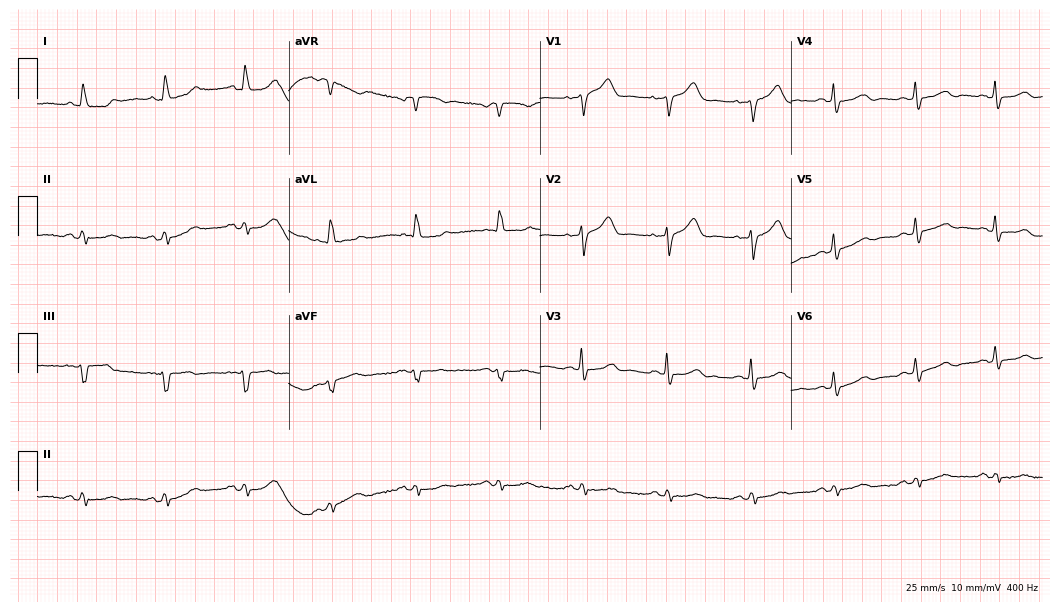
Resting 12-lead electrocardiogram (10.2-second recording at 400 Hz). Patient: an 85-year-old female. None of these six findings is recorded: first-degree AV block, right bundle branch block, left bundle branch block, sinus bradycardia, atrial fibrillation, sinus tachycardia.